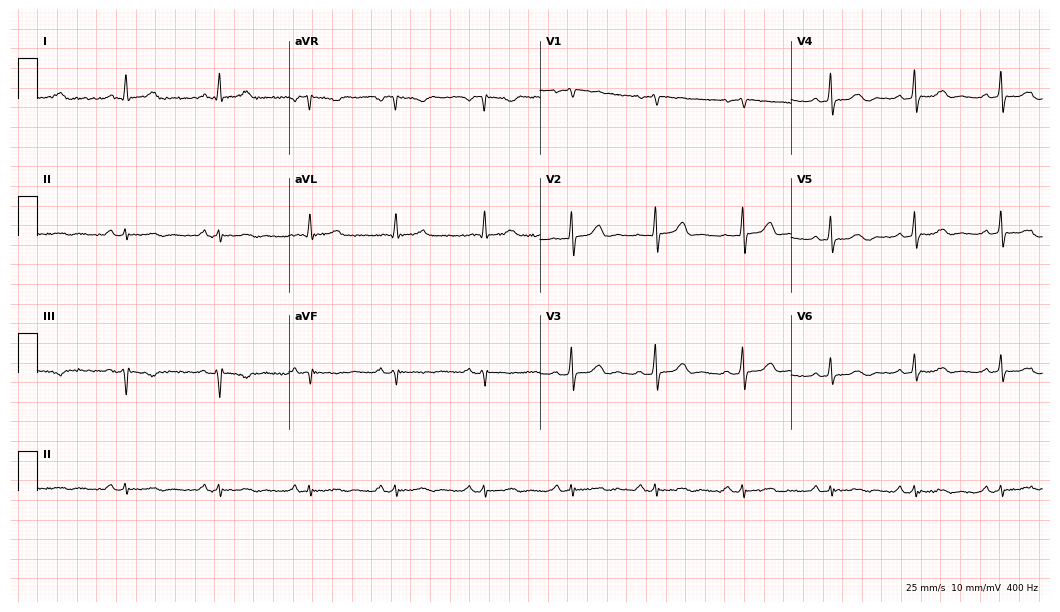
12-lead ECG from a 63-year-old woman (10.2-second recording at 400 Hz). Recorded interpretation: within normal limits.